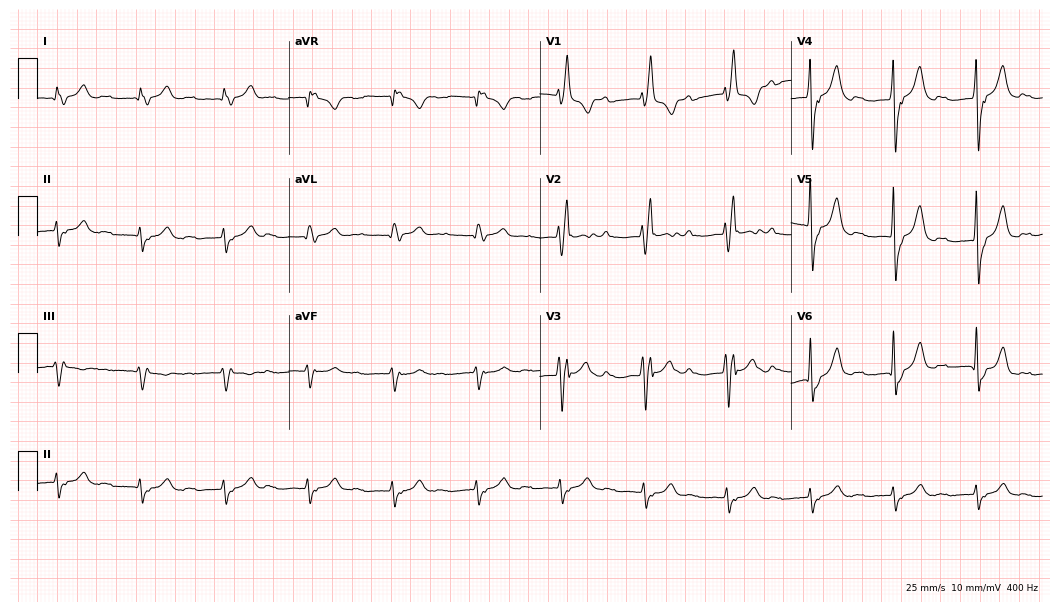
Standard 12-lead ECG recorded from a man, 81 years old. The tracing shows first-degree AV block, right bundle branch block.